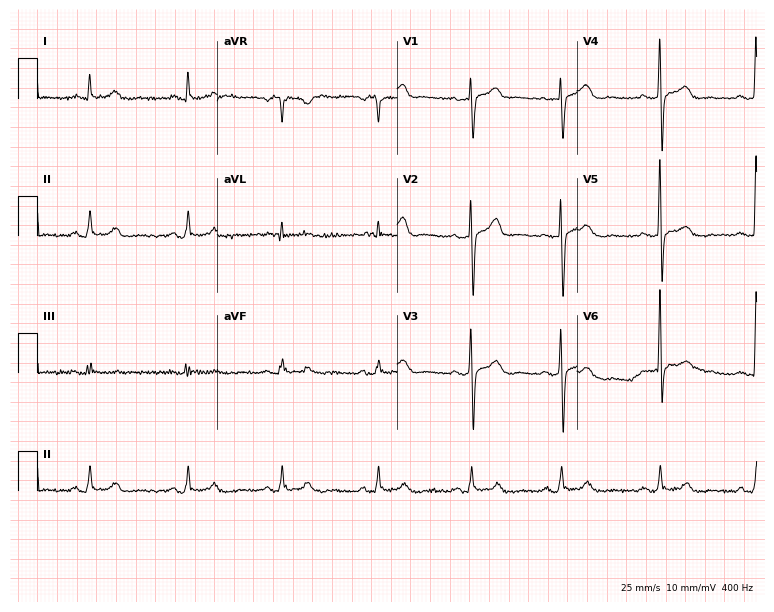
Resting 12-lead electrocardiogram. Patient: a 59-year-old male. None of these six findings is recorded: first-degree AV block, right bundle branch block (RBBB), left bundle branch block (LBBB), sinus bradycardia, atrial fibrillation (AF), sinus tachycardia.